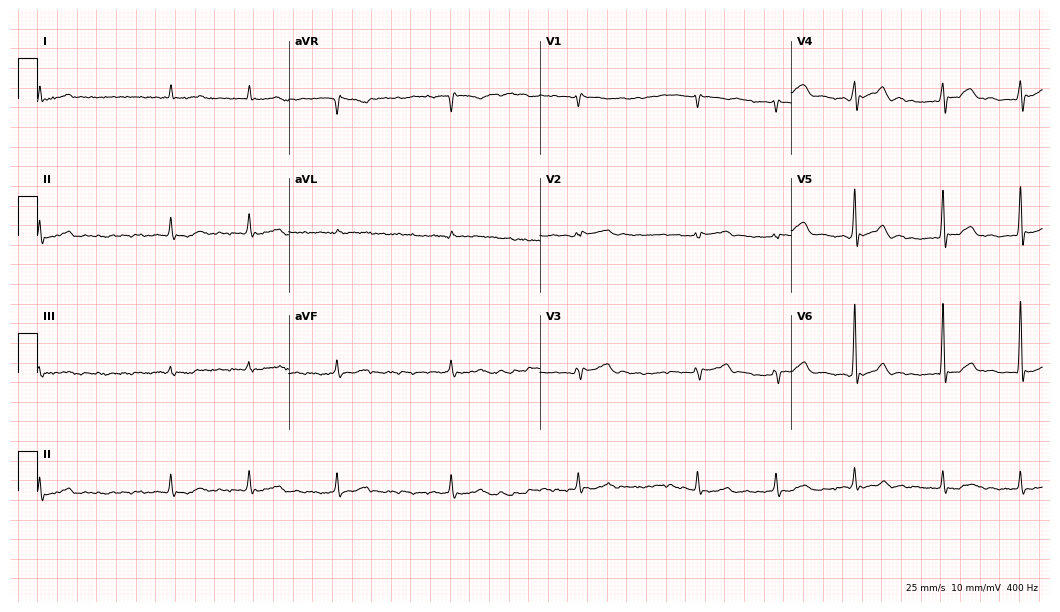
Electrocardiogram, an 82-year-old man. Interpretation includes atrial fibrillation.